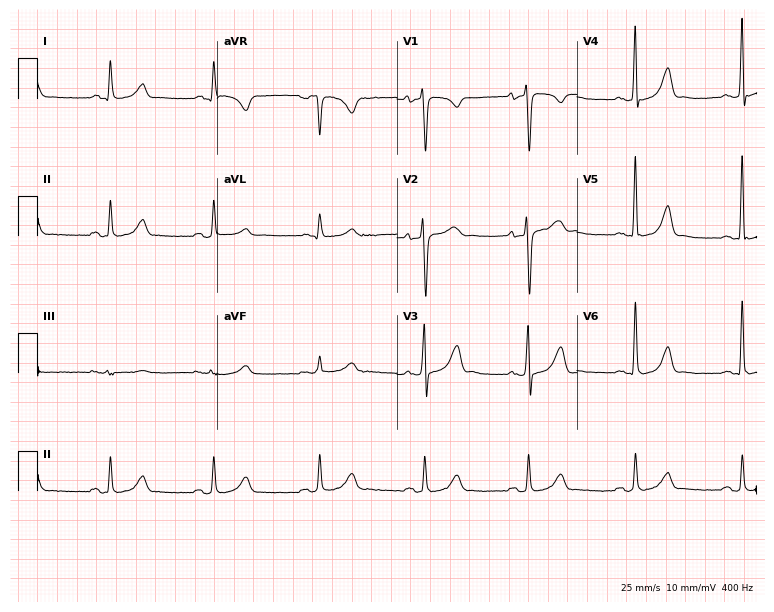
12-lead ECG from a male, 75 years old. Screened for six findings — first-degree AV block, right bundle branch block, left bundle branch block, sinus bradycardia, atrial fibrillation, sinus tachycardia — none is recorded. Other findings, if any, are not listed.